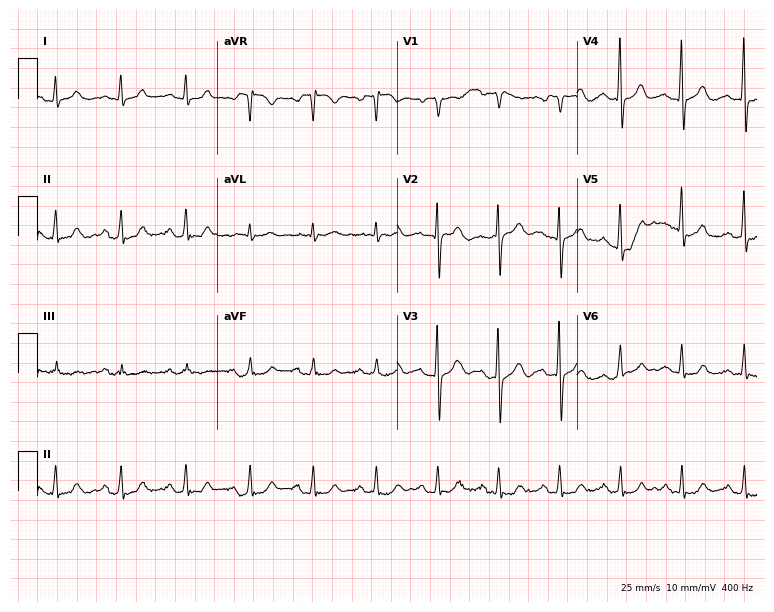
12-lead ECG from a 71-year-old man. Recorded interpretation: within normal limits.